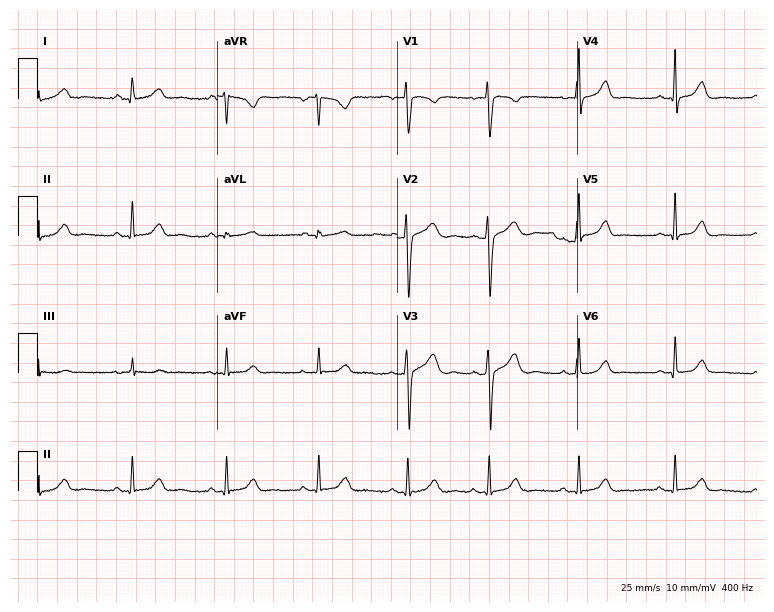
Electrocardiogram (7.3-second recording at 400 Hz), a 21-year-old female. Overall reading on record: normal ECG.